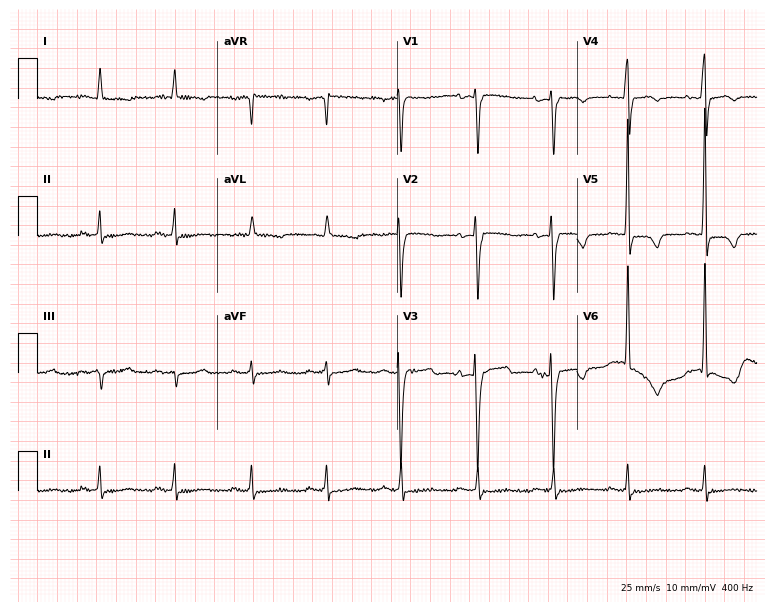
Electrocardiogram (7.3-second recording at 400 Hz), an 83-year-old female. Of the six screened findings (first-degree AV block, right bundle branch block, left bundle branch block, sinus bradycardia, atrial fibrillation, sinus tachycardia), none is recorded.